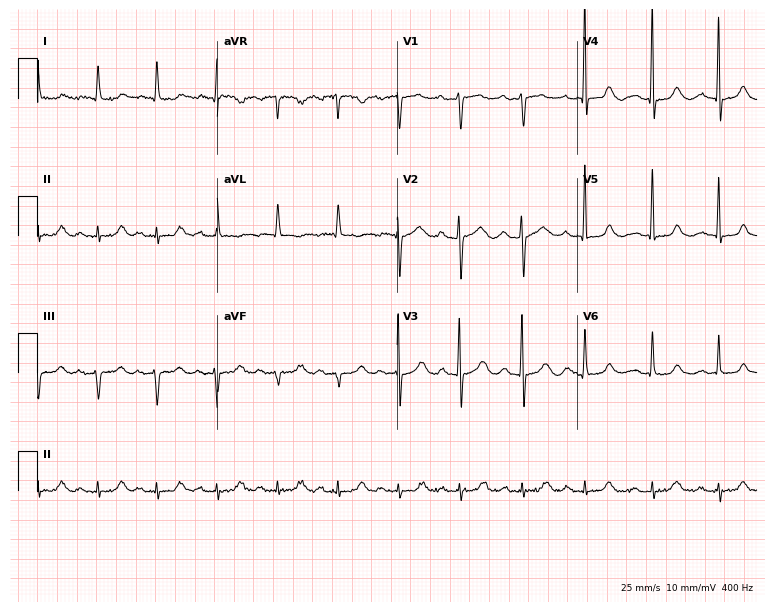
12-lead ECG from an 82-year-old woman (7.3-second recording at 400 Hz). Recorded interpretation: within normal limits.